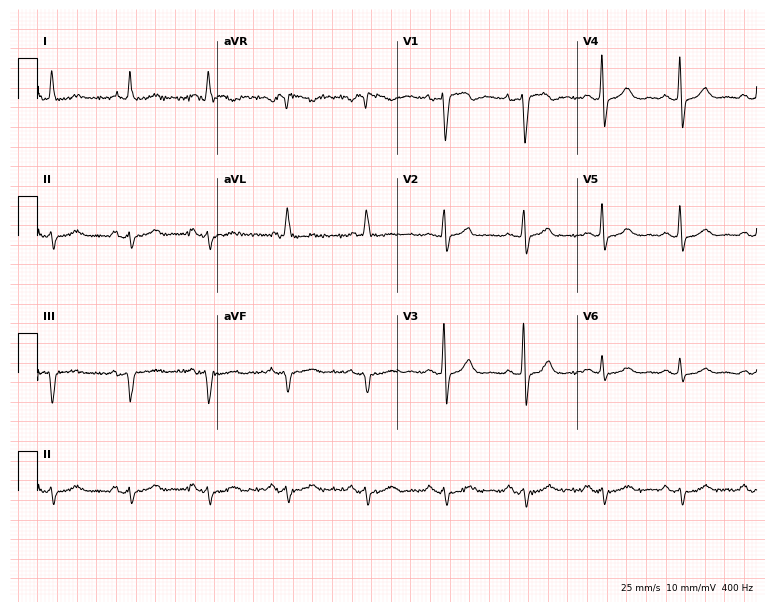
Resting 12-lead electrocardiogram (7.3-second recording at 400 Hz). Patient: a male, 64 years old. None of these six findings is recorded: first-degree AV block, right bundle branch block, left bundle branch block, sinus bradycardia, atrial fibrillation, sinus tachycardia. Findings outside these six are not listed.